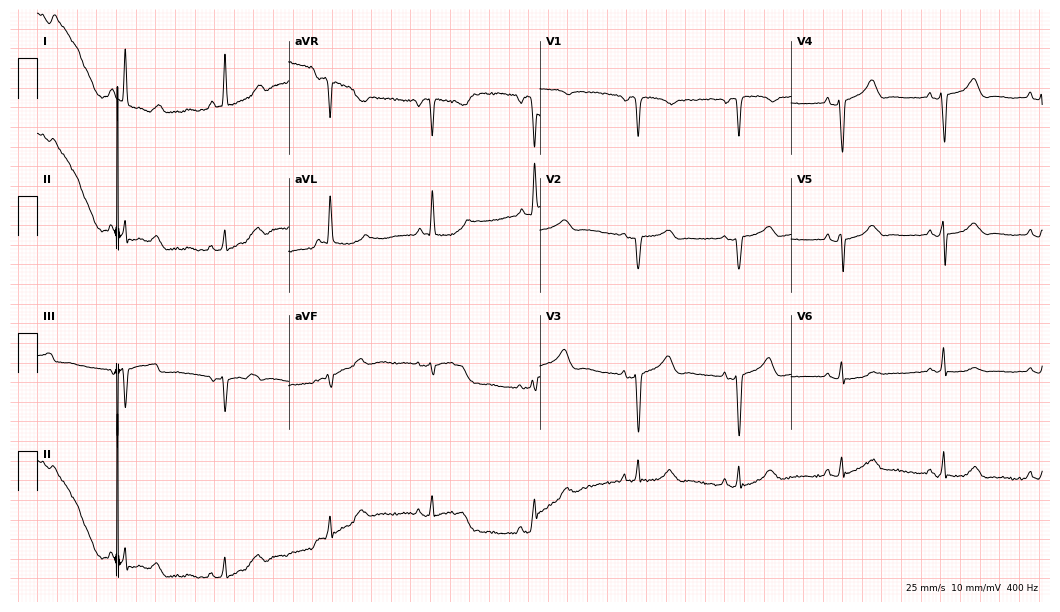
Electrocardiogram (10.2-second recording at 400 Hz), a female, 82 years old. Of the six screened findings (first-degree AV block, right bundle branch block, left bundle branch block, sinus bradycardia, atrial fibrillation, sinus tachycardia), none is recorded. Other findings, if any, are not listed.